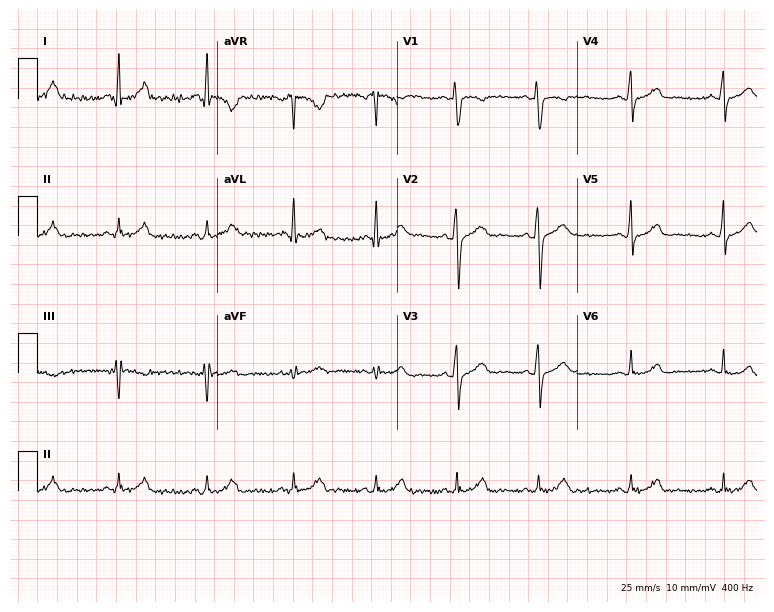
12-lead ECG from a male, 27 years old (7.3-second recording at 400 Hz). No first-degree AV block, right bundle branch block, left bundle branch block, sinus bradycardia, atrial fibrillation or sinus tachycardia recorded for this tracing. Only these six findings were labelled.